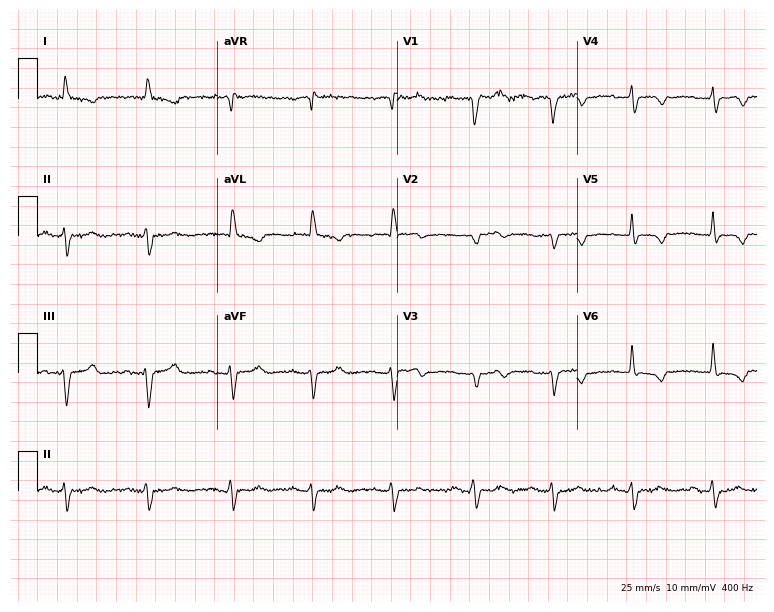
12-lead ECG from an 83-year-old female. Screened for six findings — first-degree AV block, right bundle branch block, left bundle branch block, sinus bradycardia, atrial fibrillation, sinus tachycardia — none is recorded.